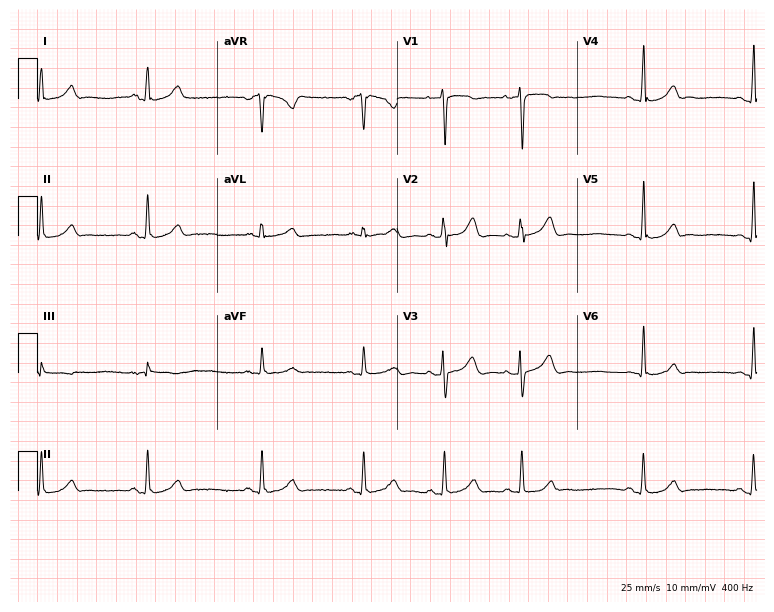
Standard 12-lead ECG recorded from a 21-year-old female (7.3-second recording at 400 Hz). Read as a normal ECG.